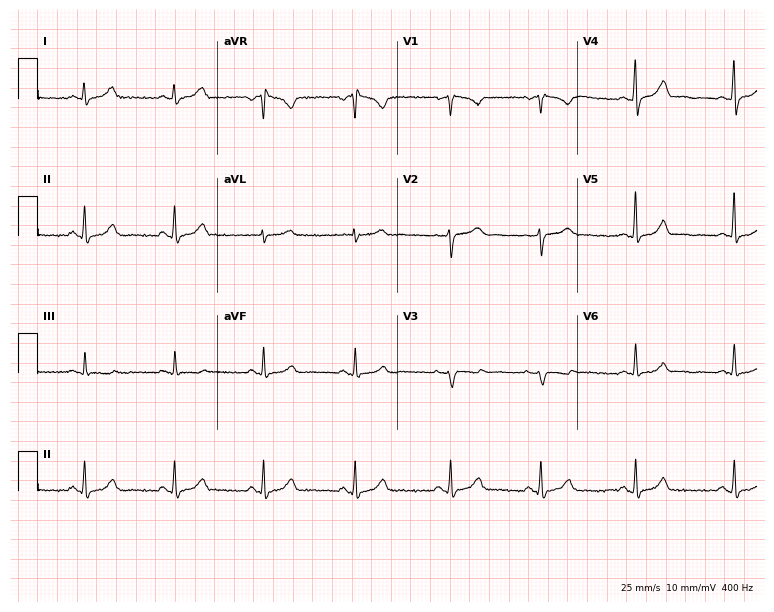
12-lead ECG from a 45-year-old woman. No first-degree AV block, right bundle branch block, left bundle branch block, sinus bradycardia, atrial fibrillation or sinus tachycardia recorded for this tracing. Other findings, if any, are not listed.